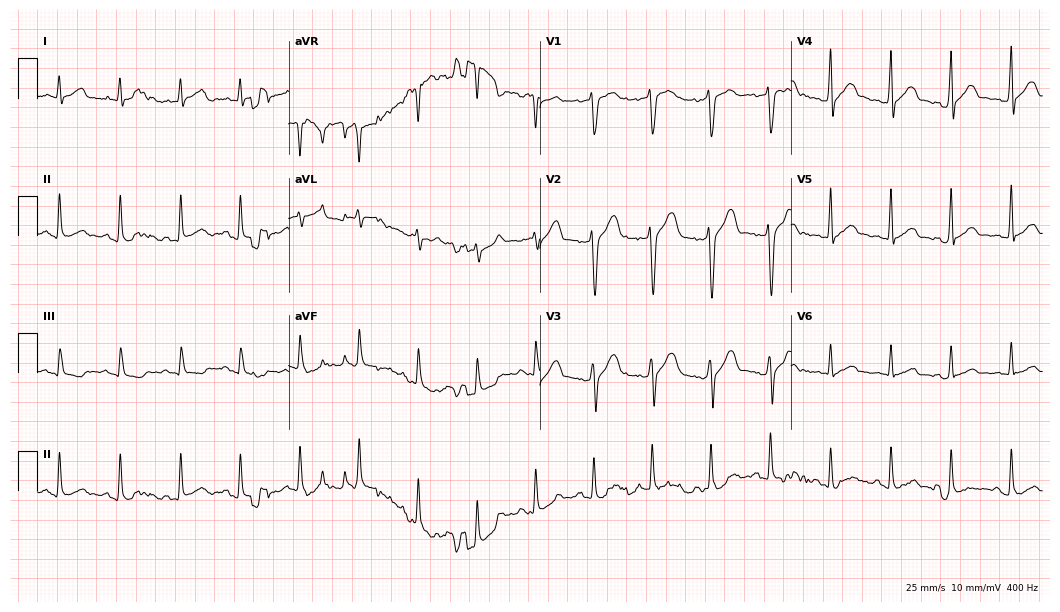
Standard 12-lead ECG recorded from a 42-year-old male patient. None of these six findings is recorded: first-degree AV block, right bundle branch block, left bundle branch block, sinus bradycardia, atrial fibrillation, sinus tachycardia. Other findings, if any, are not listed.